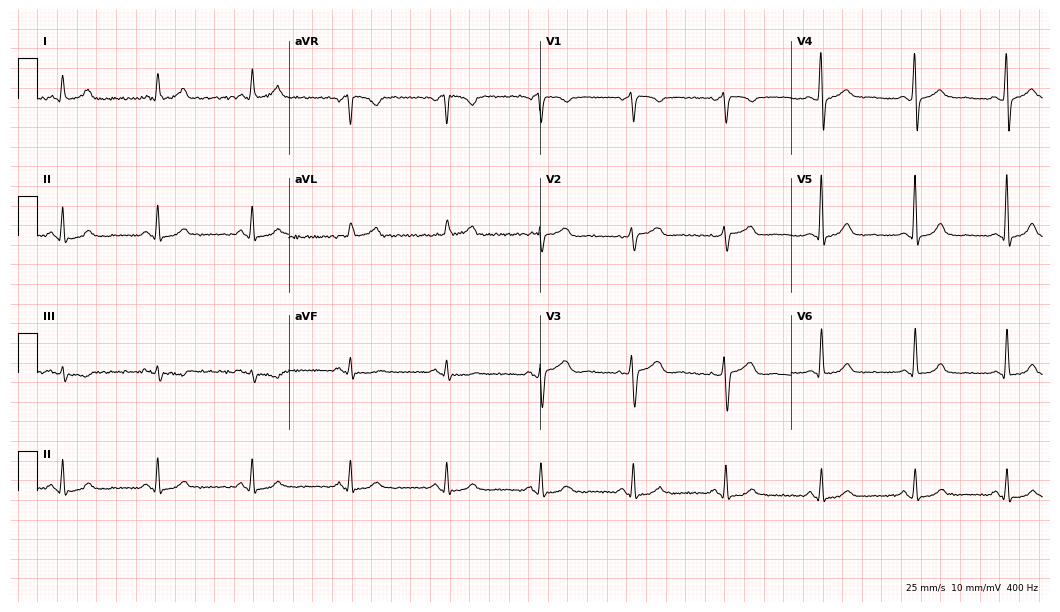
Resting 12-lead electrocardiogram (10.2-second recording at 400 Hz). Patient: a female, 39 years old. Read as a normal ECG.